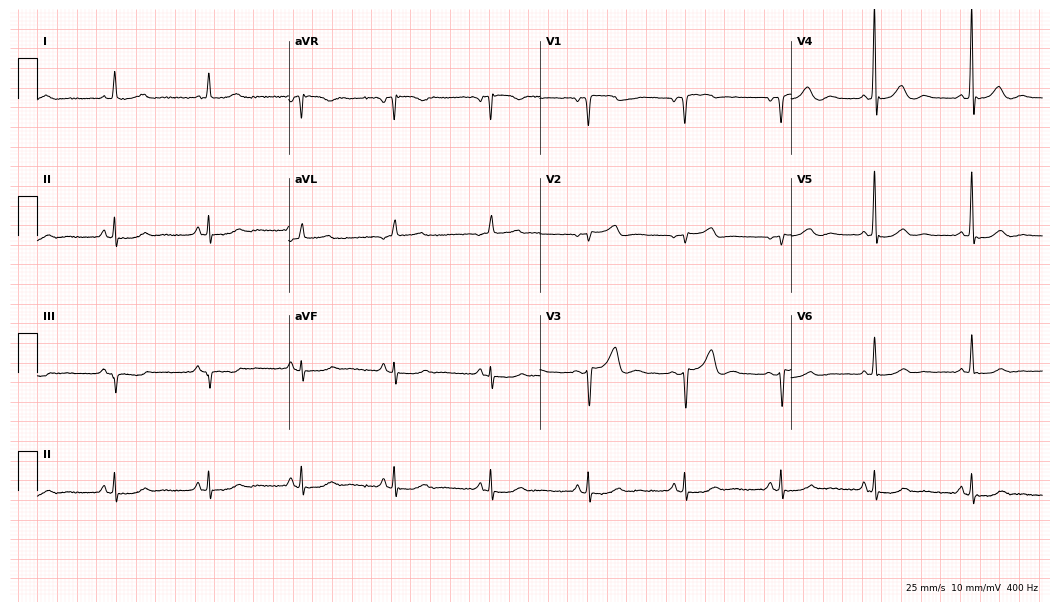
Standard 12-lead ECG recorded from a 79-year-old female patient (10.2-second recording at 400 Hz). None of these six findings is recorded: first-degree AV block, right bundle branch block, left bundle branch block, sinus bradycardia, atrial fibrillation, sinus tachycardia.